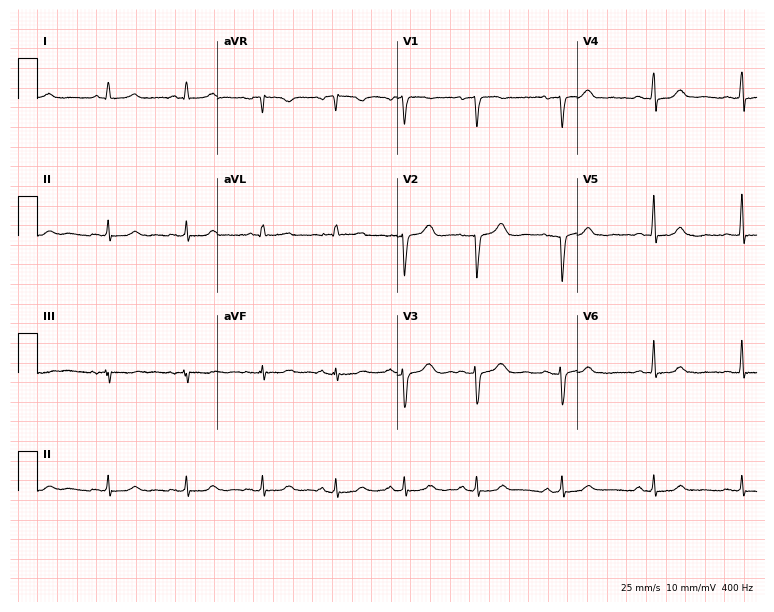
Resting 12-lead electrocardiogram. Patient: a 36-year-old female. None of these six findings is recorded: first-degree AV block, right bundle branch block, left bundle branch block, sinus bradycardia, atrial fibrillation, sinus tachycardia. Other findings, if any, are not listed.